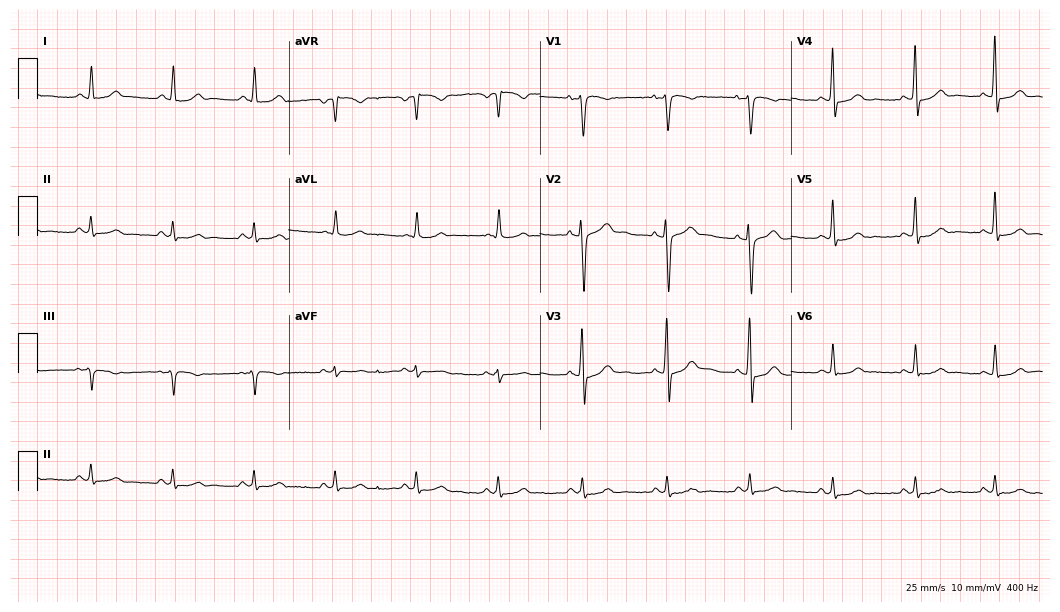
12-lead ECG from a male, 53 years old (10.2-second recording at 400 Hz). Recorded interpretation: within normal limits.